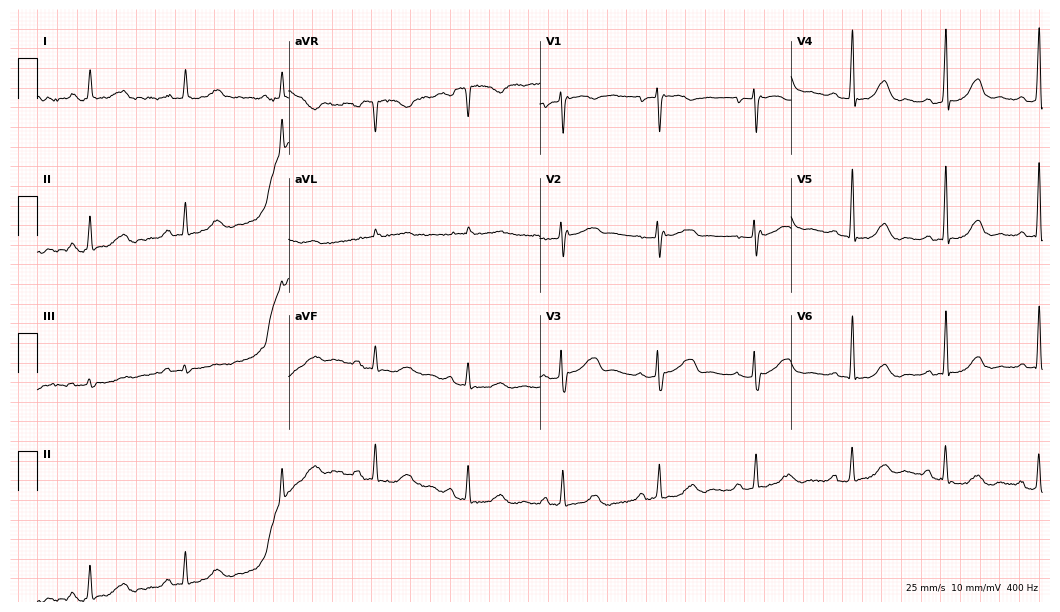
ECG — a 69-year-old female. Labelled as a normal ECG.